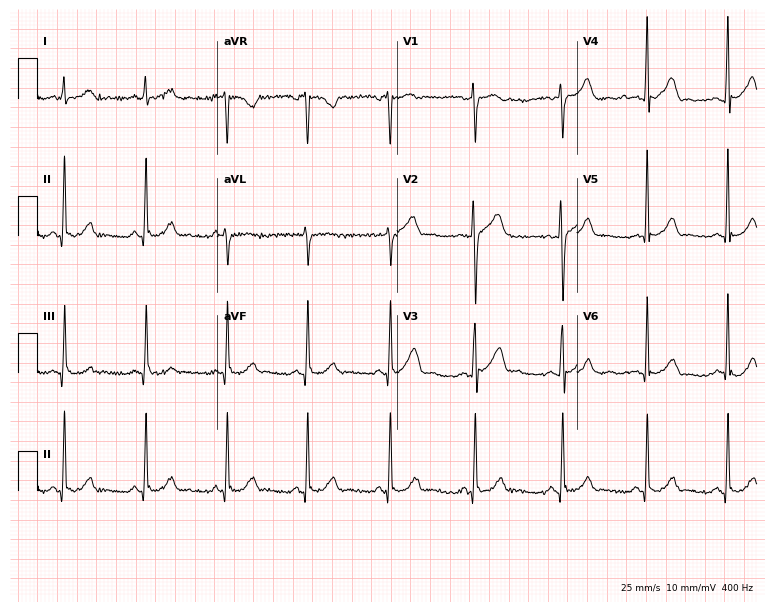
12-lead ECG from a male patient, 40 years old (7.3-second recording at 400 Hz). Recorded interpretation: within normal limits.